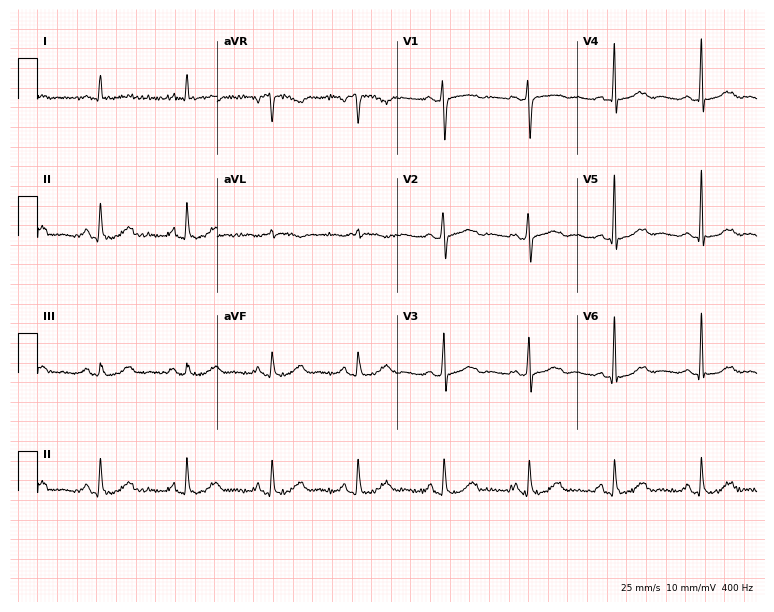
Electrocardiogram (7.3-second recording at 400 Hz), a female patient, 67 years old. Overall reading on record: normal ECG.